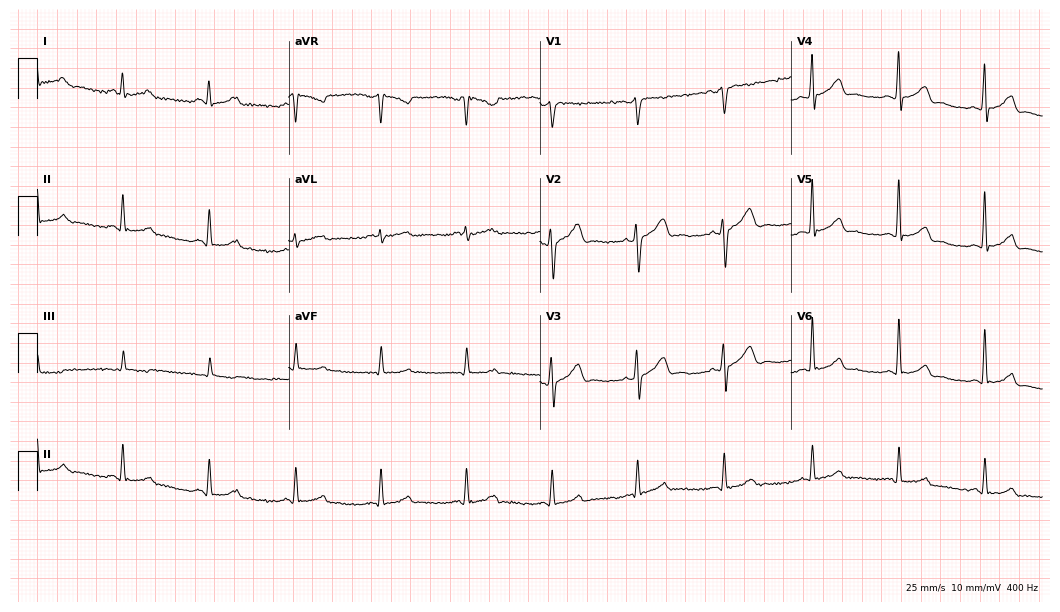
Electrocardiogram, a male, 44 years old. Overall reading on record: normal ECG.